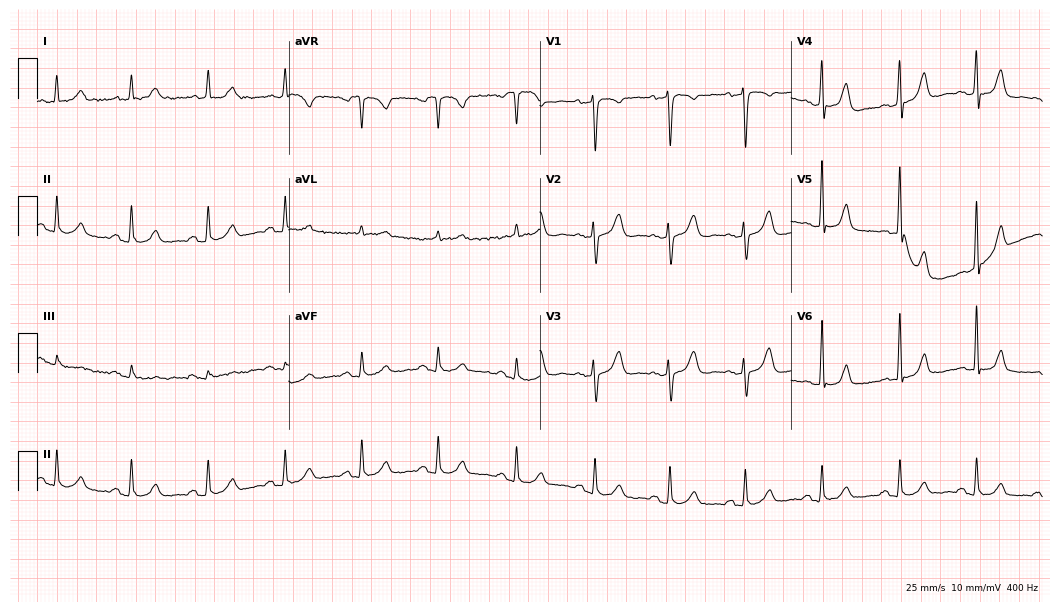
12-lead ECG from a male, 60 years old (10.2-second recording at 400 Hz). Recorded interpretation: within normal limits.